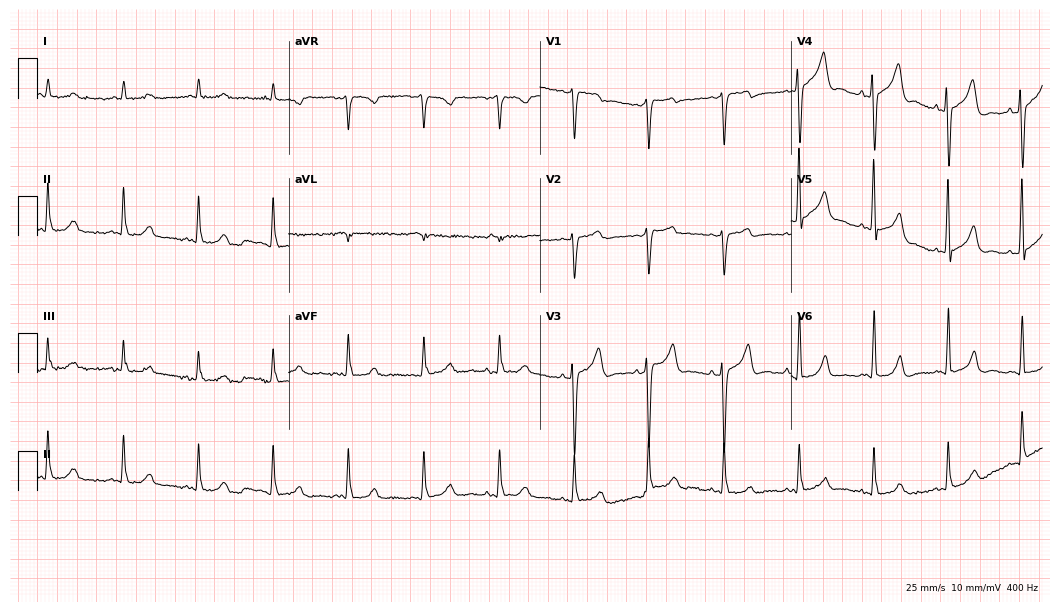
Standard 12-lead ECG recorded from a 70-year-old male patient. None of these six findings is recorded: first-degree AV block, right bundle branch block (RBBB), left bundle branch block (LBBB), sinus bradycardia, atrial fibrillation (AF), sinus tachycardia. Findings outside these six are not listed.